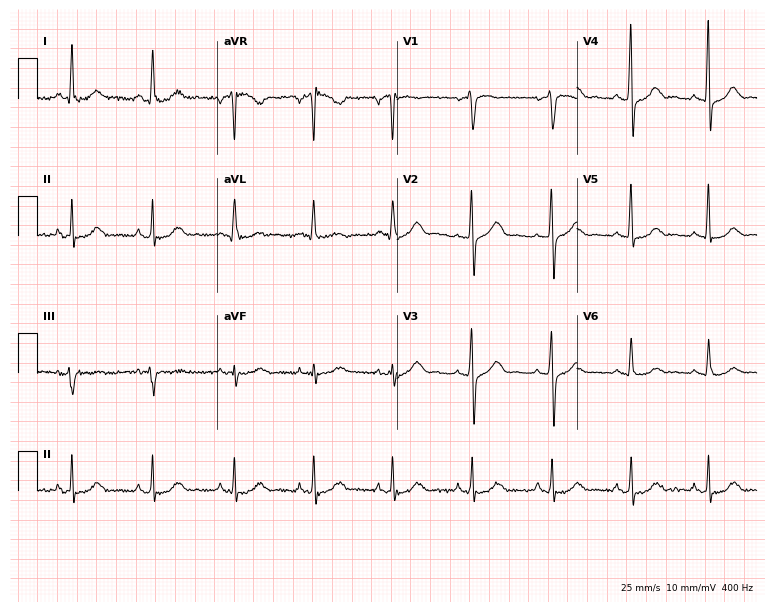
Electrocardiogram, a 75-year-old female patient. Overall reading on record: normal ECG.